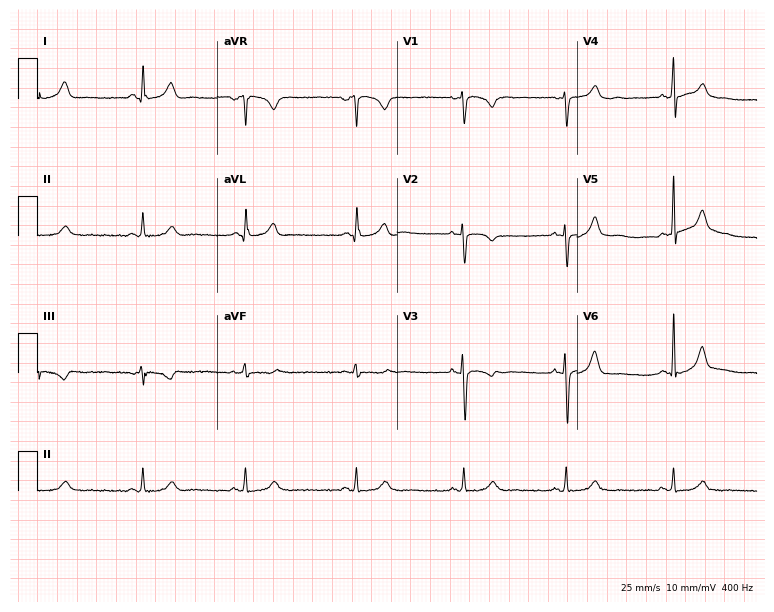
Resting 12-lead electrocardiogram (7.3-second recording at 400 Hz). Patient: a 37-year-old female. None of these six findings is recorded: first-degree AV block, right bundle branch block, left bundle branch block, sinus bradycardia, atrial fibrillation, sinus tachycardia.